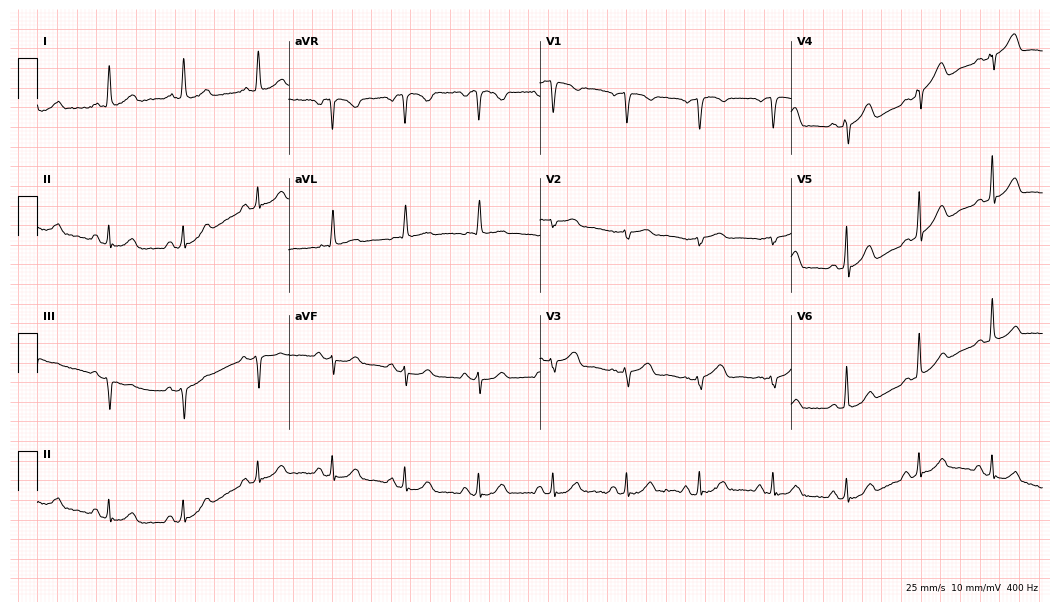
12-lead ECG from a woman, 74 years old. Recorded interpretation: within normal limits.